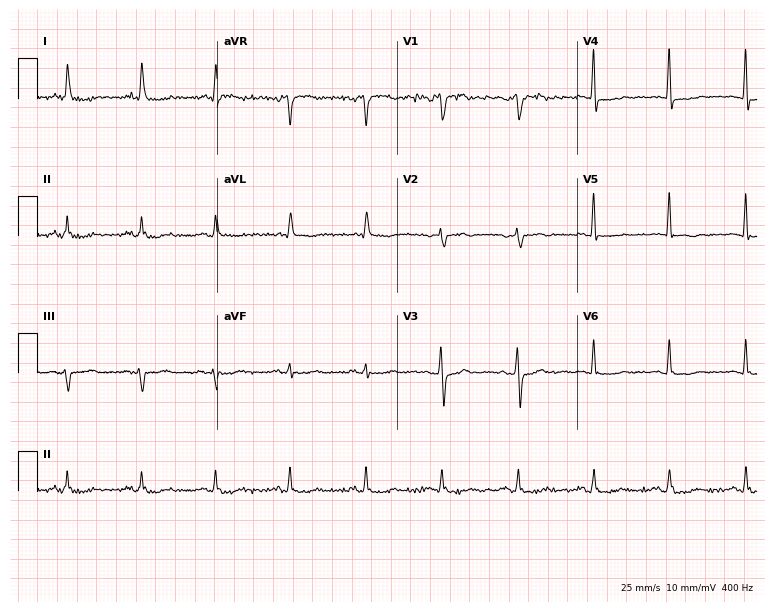
Resting 12-lead electrocardiogram. Patient: a 63-year-old female. None of these six findings is recorded: first-degree AV block, right bundle branch block, left bundle branch block, sinus bradycardia, atrial fibrillation, sinus tachycardia.